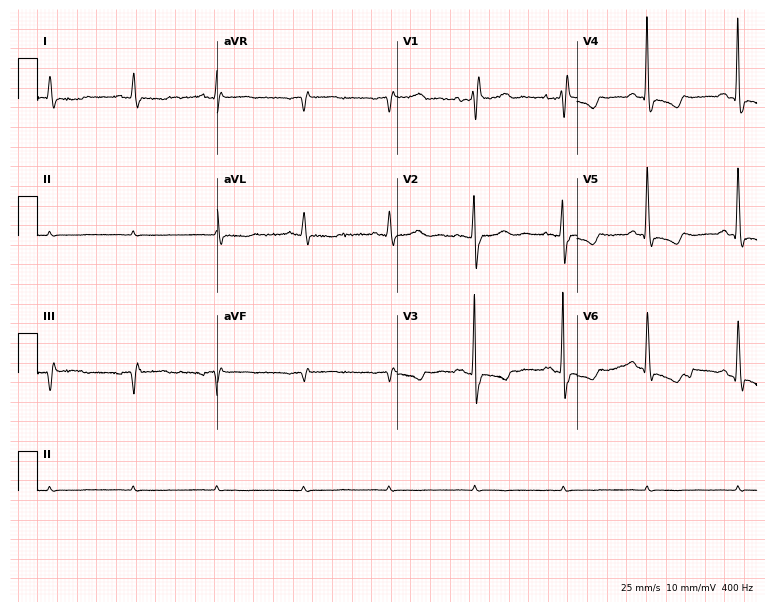
Resting 12-lead electrocardiogram. Patient: a female, 78 years old. None of these six findings is recorded: first-degree AV block, right bundle branch block, left bundle branch block, sinus bradycardia, atrial fibrillation, sinus tachycardia.